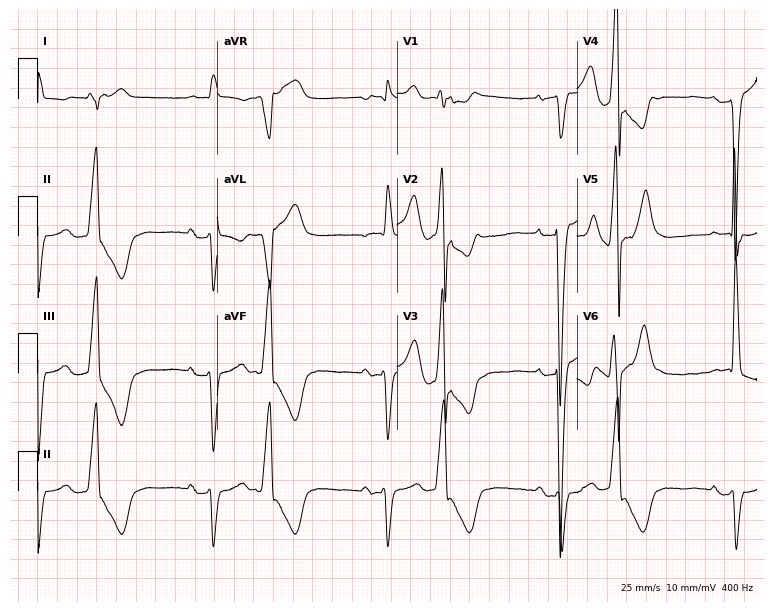
Electrocardiogram, an 83-year-old male. Interpretation includes left bundle branch block (LBBB).